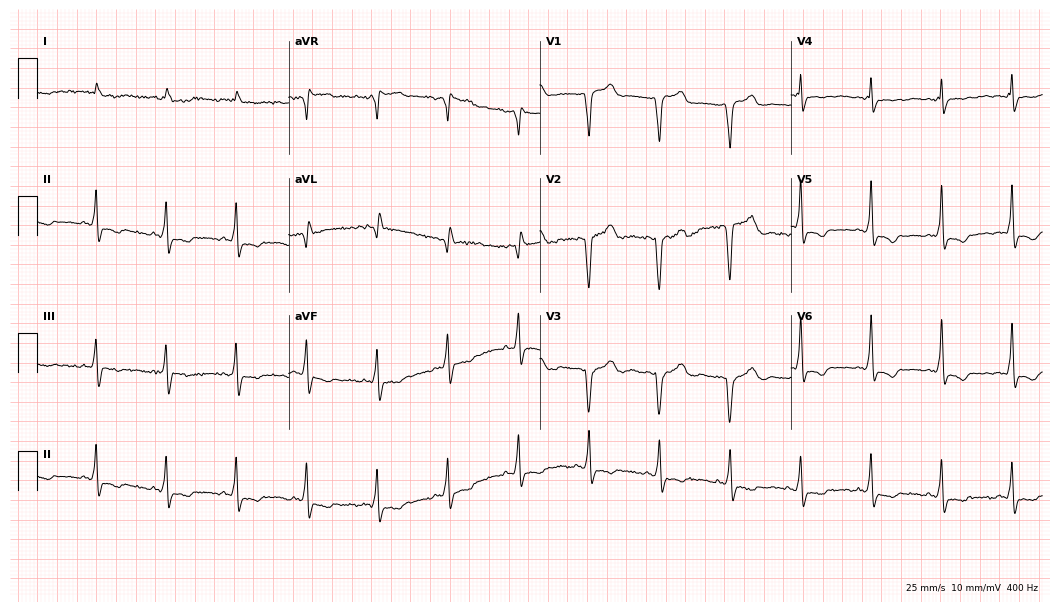
Standard 12-lead ECG recorded from a woman, 74 years old (10.2-second recording at 400 Hz). None of these six findings is recorded: first-degree AV block, right bundle branch block (RBBB), left bundle branch block (LBBB), sinus bradycardia, atrial fibrillation (AF), sinus tachycardia. Other findings, if any, are not listed.